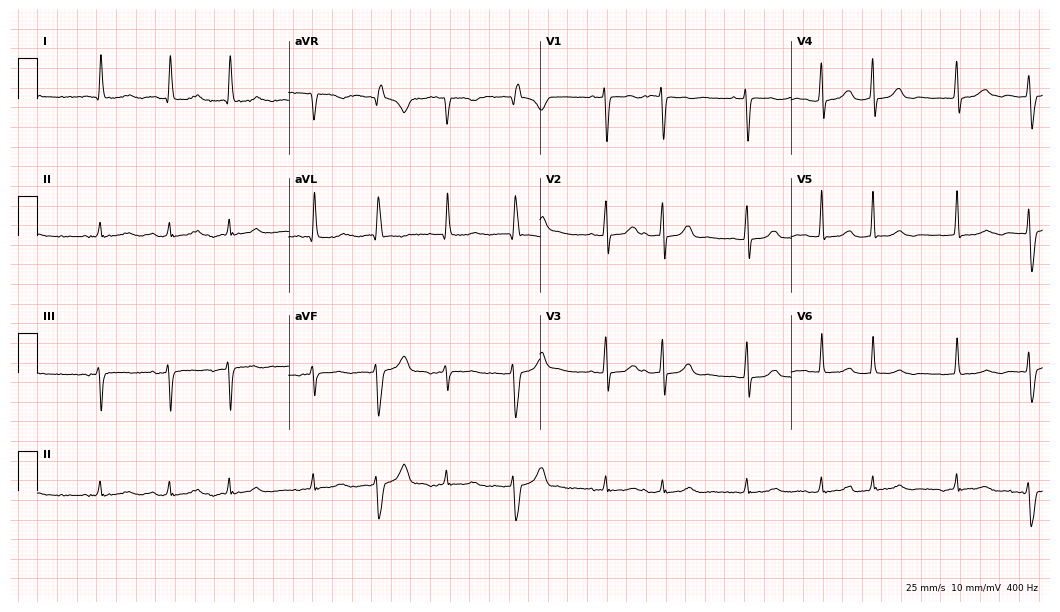
12-lead ECG (10.2-second recording at 400 Hz) from a woman, 80 years old. Screened for six findings — first-degree AV block, right bundle branch block, left bundle branch block, sinus bradycardia, atrial fibrillation, sinus tachycardia — none is recorded. Only these six findings were labelled.